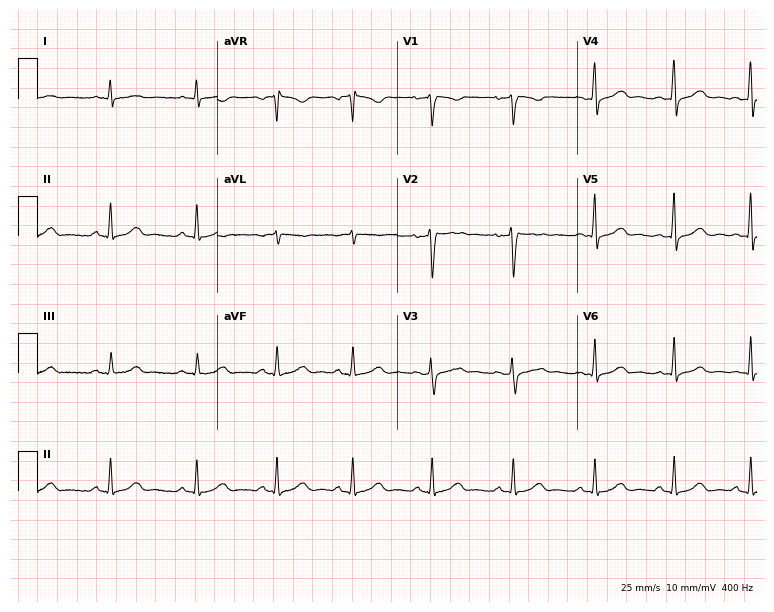
12-lead ECG from a woman, 33 years old. Screened for six findings — first-degree AV block, right bundle branch block (RBBB), left bundle branch block (LBBB), sinus bradycardia, atrial fibrillation (AF), sinus tachycardia — none is recorded.